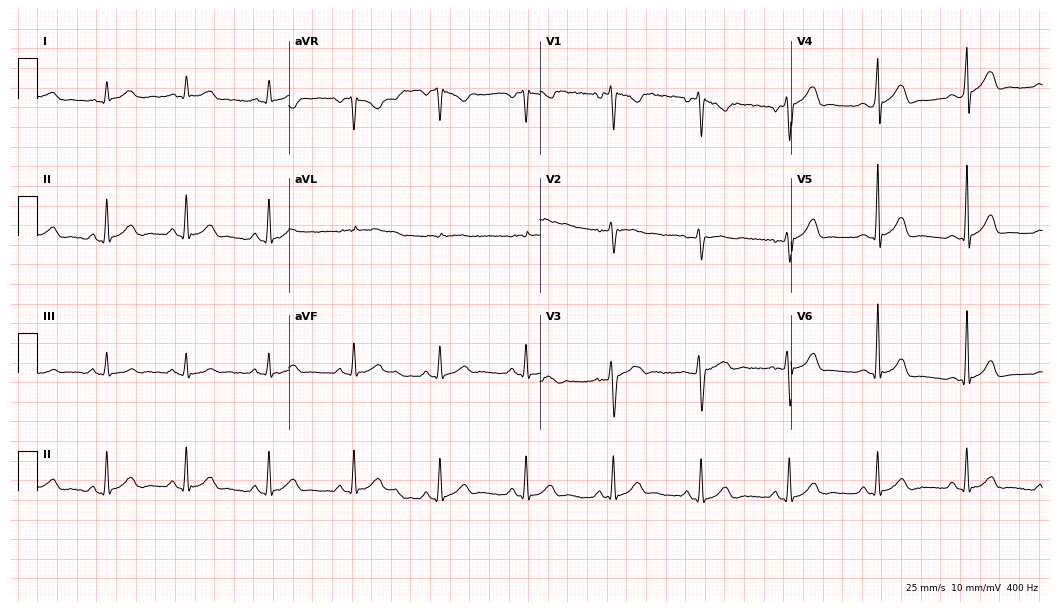
Standard 12-lead ECG recorded from a 23-year-old male patient. Read as a normal ECG.